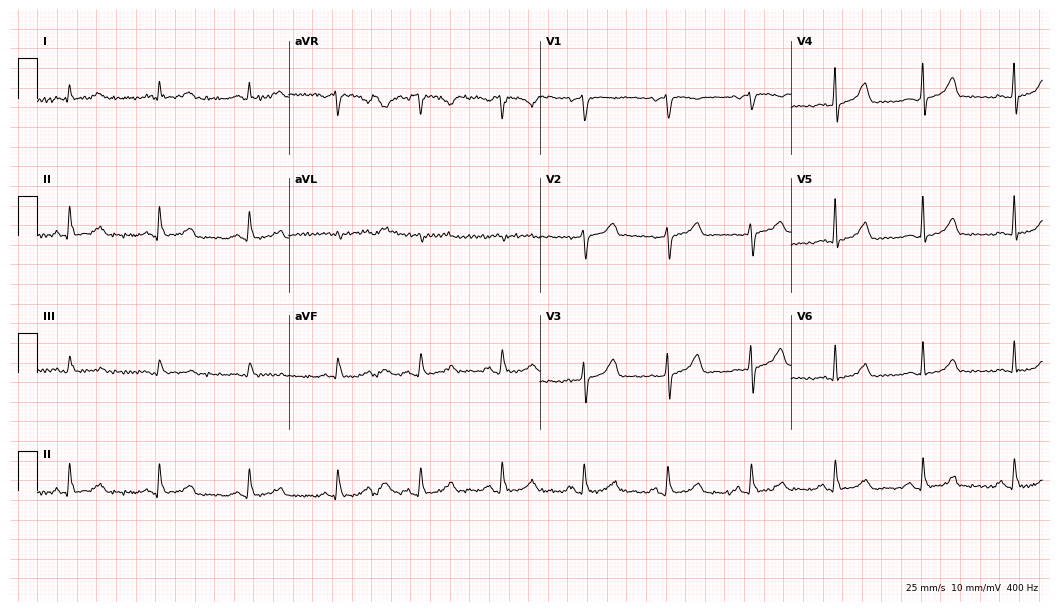
ECG (10.2-second recording at 400 Hz) — a man, 70 years old. Labelled as a normal ECG.